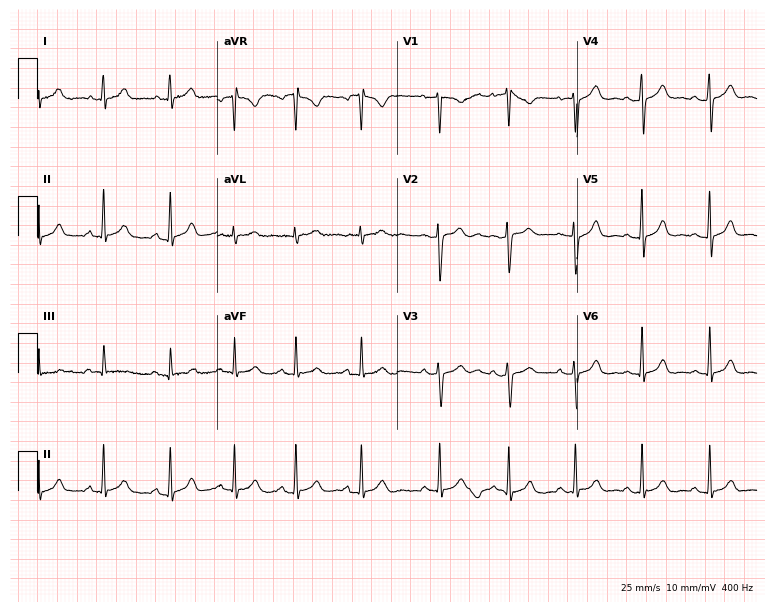
Standard 12-lead ECG recorded from an 18-year-old female. Read as a normal ECG.